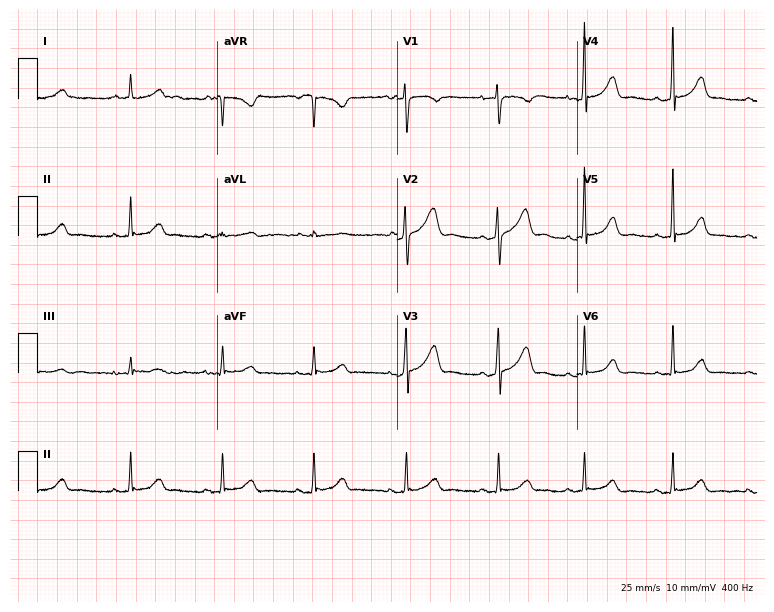
Electrocardiogram (7.3-second recording at 400 Hz), a woman, 33 years old. Of the six screened findings (first-degree AV block, right bundle branch block, left bundle branch block, sinus bradycardia, atrial fibrillation, sinus tachycardia), none is recorded.